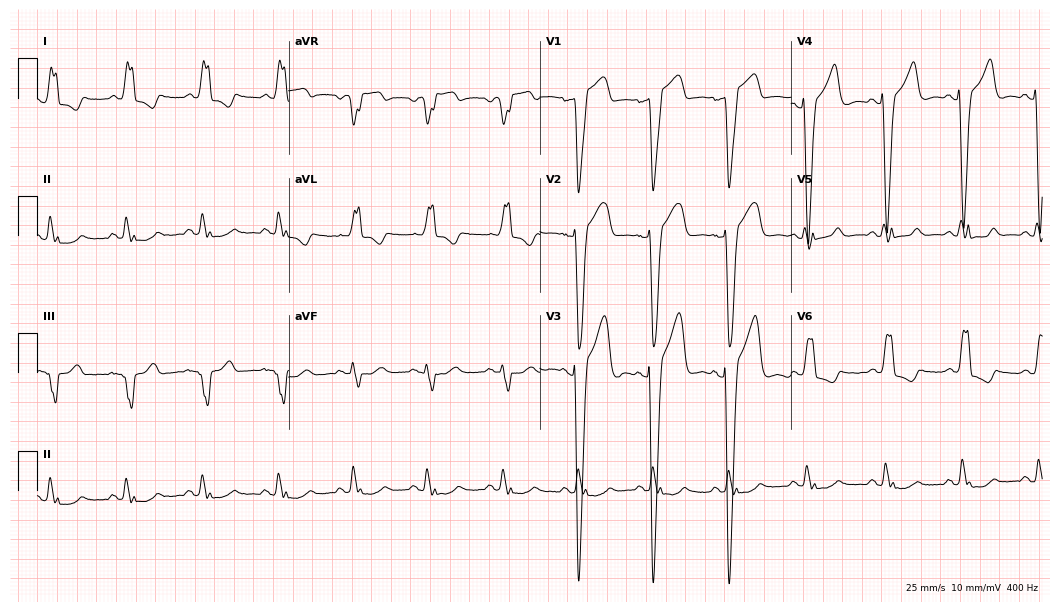
Resting 12-lead electrocardiogram. Patient: a 64-year-old man. The tracing shows left bundle branch block.